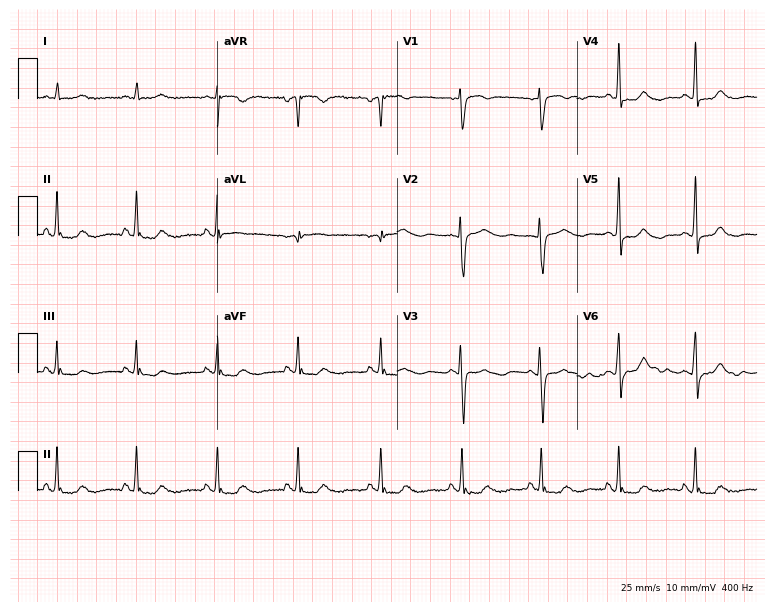
Electrocardiogram, a 57-year-old woman. Of the six screened findings (first-degree AV block, right bundle branch block, left bundle branch block, sinus bradycardia, atrial fibrillation, sinus tachycardia), none is recorded.